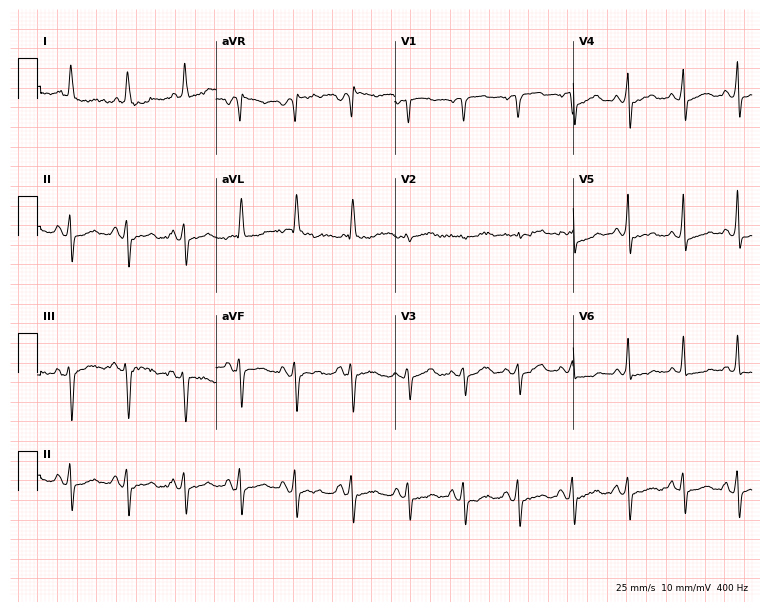
Standard 12-lead ECG recorded from a female, 77 years old. None of these six findings is recorded: first-degree AV block, right bundle branch block, left bundle branch block, sinus bradycardia, atrial fibrillation, sinus tachycardia. Findings outside these six are not listed.